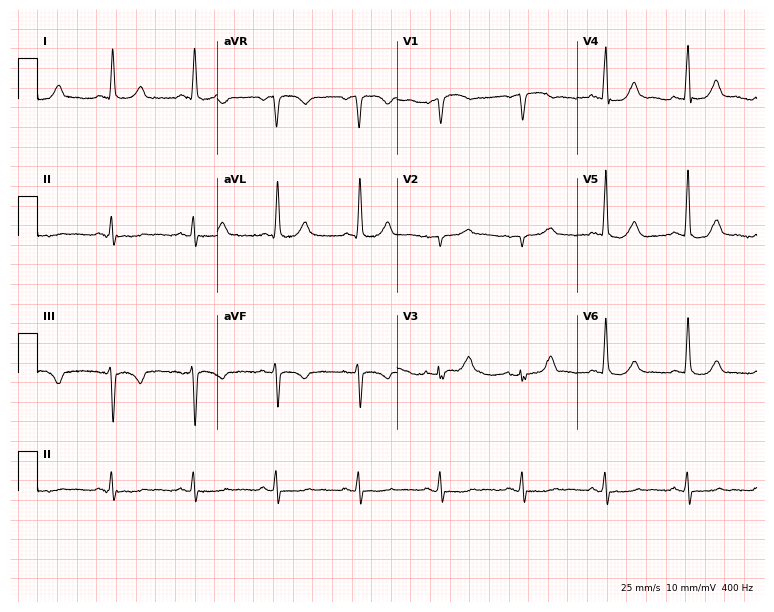
Resting 12-lead electrocardiogram (7.3-second recording at 400 Hz). Patient: a 61-year-old woman. None of these six findings is recorded: first-degree AV block, right bundle branch block, left bundle branch block, sinus bradycardia, atrial fibrillation, sinus tachycardia.